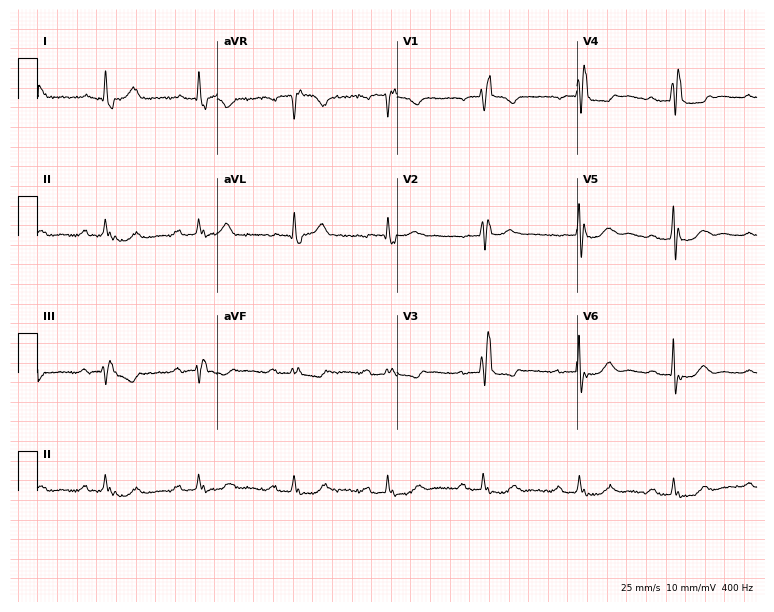
12-lead ECG from a female patient, 81 years old. Screened for six findings — first-degree AV block, right bundle branch block, left bundle branch block, sinus bradycardia, atrial fibrillation, sinus tachycardia — none is recorded. Other findings, if any, are not listed.